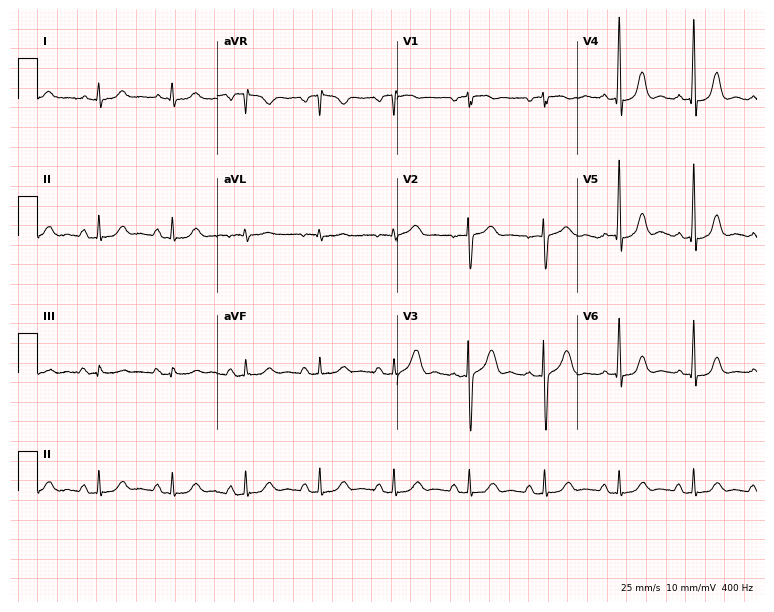
ECG (7.3-second recording at 400 Hz) — a 57-year-old woman. Labelled as a normal ECG.